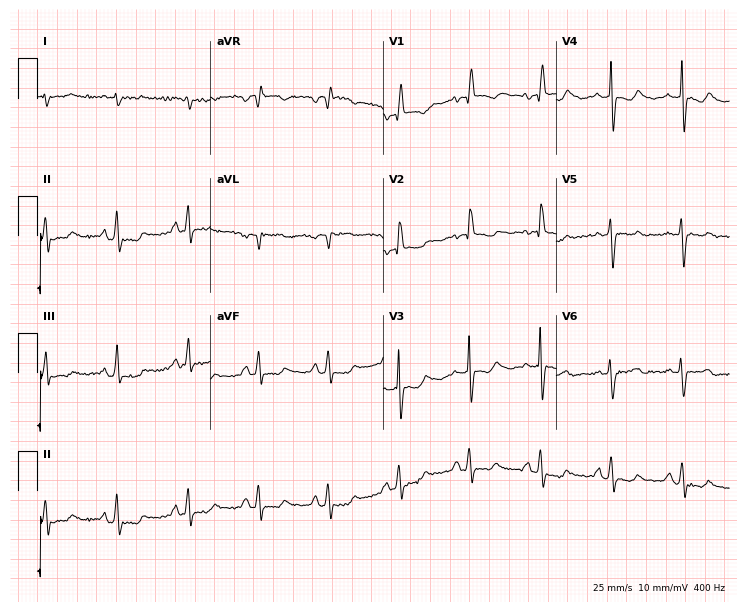
12-lead ECG (7.1-second recording at 400 Hz) from a male patient, 70 years old. Screened for six findings — first-degree AV block, right bundle branch block (RBBB), left bundle branch block (LBBB), sinus bradycardia, atrial fibrillation (AF), sinus tachycardia — none is recorded. Other findings, if any, are not listed.